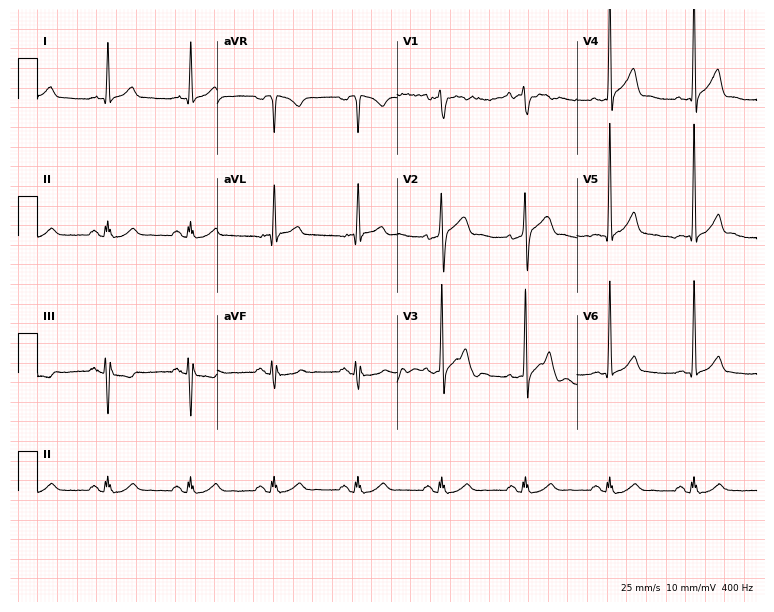
12-lead ECG (7.3-second recording at 400 Hz) from a man, 79 years old. Labelled as a normal ECG.